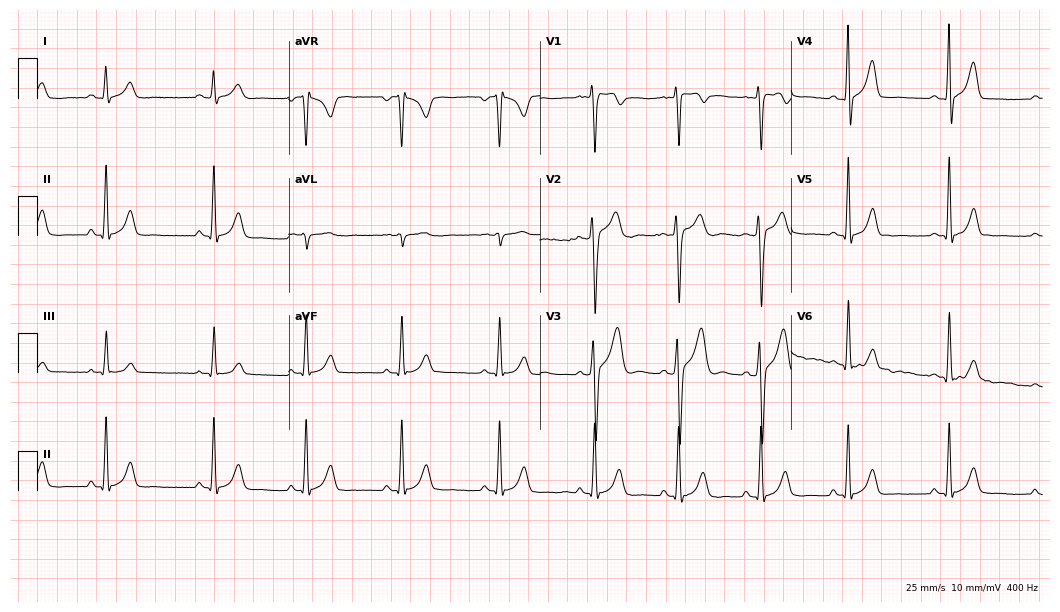
ECG (10.2-second recording at 400 Hz) — a man, 24 years old. Labelled as a normal ECG.